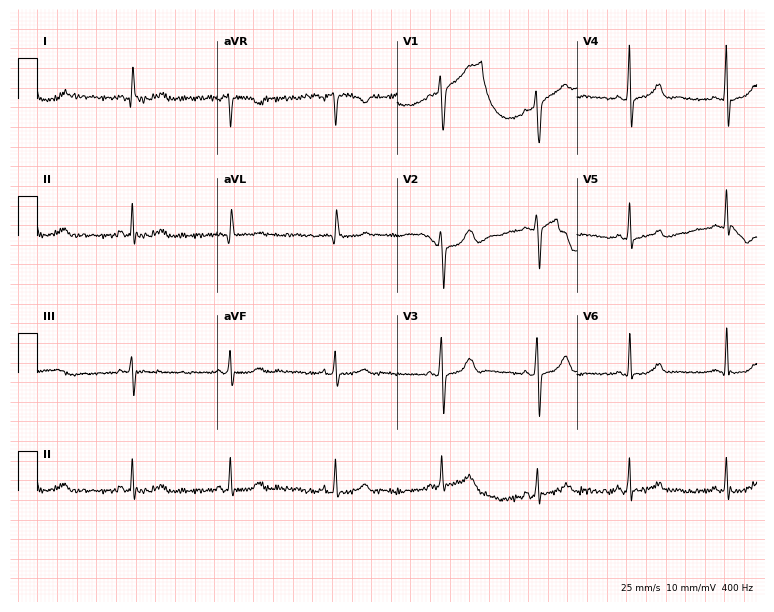
12-lead ECG from a 43-year-old woman. Recorded interpretation: within normal limits.